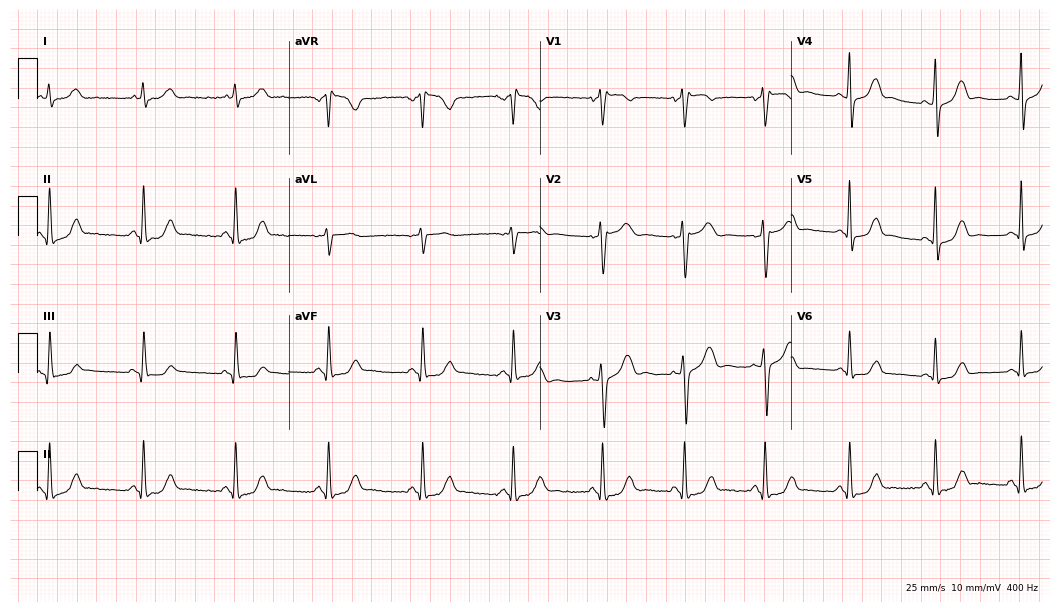
ECG (10.2-second recording at 400 Hz) — a 58-year-old woman. Screened for six findings — first-degree AV block, right bundle branch block (RBBB), left bundle branch block (LBBB), sinus bradycardia, atrial fibrillation (AF), sinus tachycardia — none is recorded. Other findings, if any, are not listed.